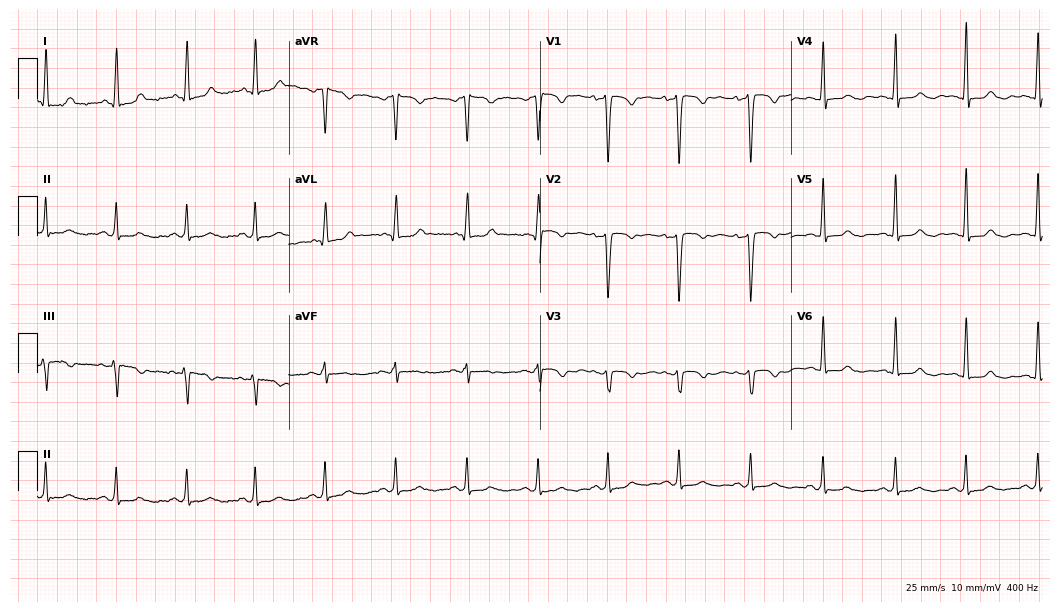
Resting 12-lead electrocardiogram (10.2-second recording at 400 Hz). Patient: a woman, 39 years old. None of these six findings is recorded: first-degree AV block, right bundle branch block, left bundle branch block, sinus bradycardia, atrial fibrillation, sinus tachycardia. Only these six findings were labelled.